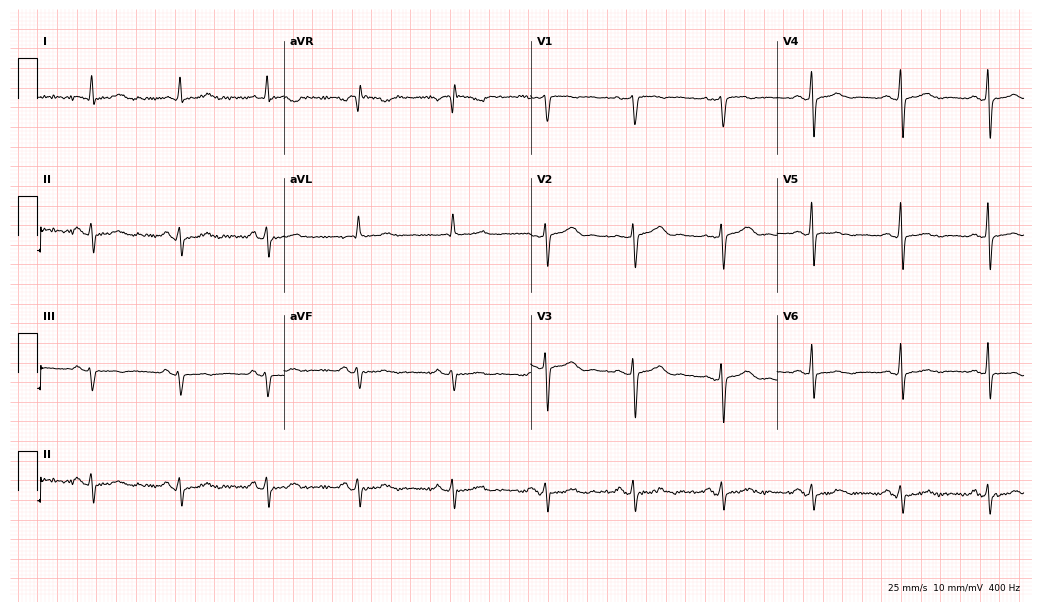
Resting 12-lead electrocardiogram (10.1-second recording at 400 Hz). Patient: a female, 43 years old. None of these six findings is recorded: first-degree AV block, right bundle branch block, left bundle branch block, sinus bradycardia, atrial fibrillation, sinus tachycardia. Other findings, if any, are not listed.